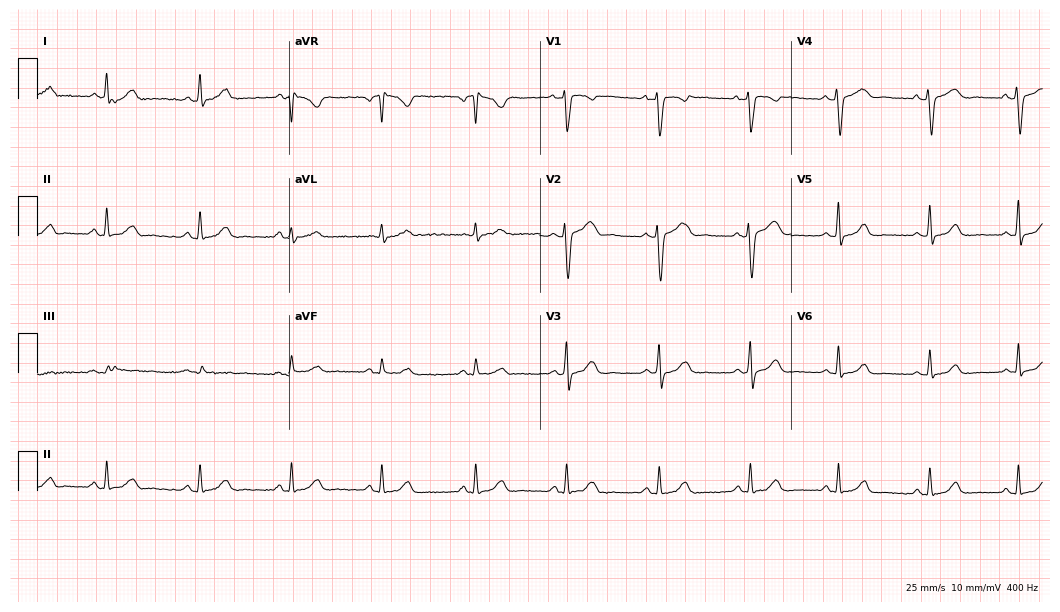
Standard 12-lead ECG recorded from a 40-year-old female. None of these six findings is recorded: first-degree AV block, right bundle branch block (RBBB), left bundle branch block (LBBB), sinus bradycardia, atrial fibrillation (AF), sinus tachycardia.